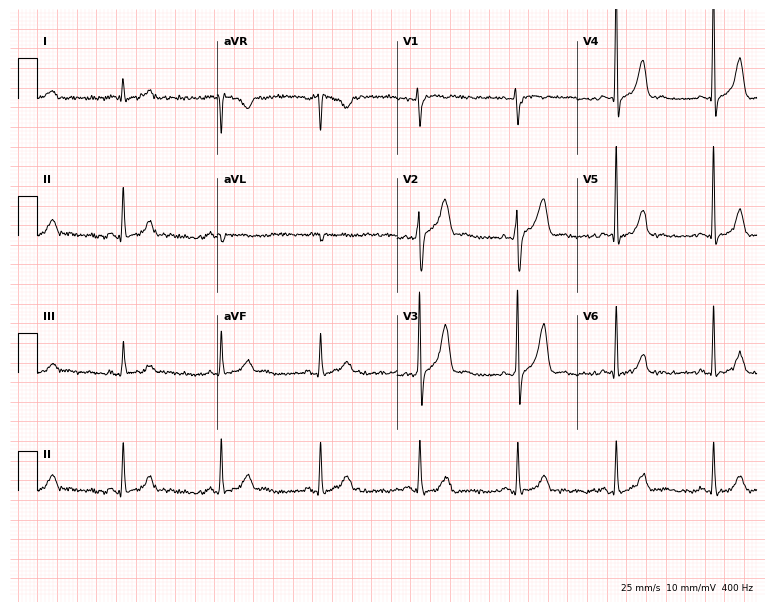
Electrocardiogram, a 57-year-old man. Overall reading on record: normal ECG.